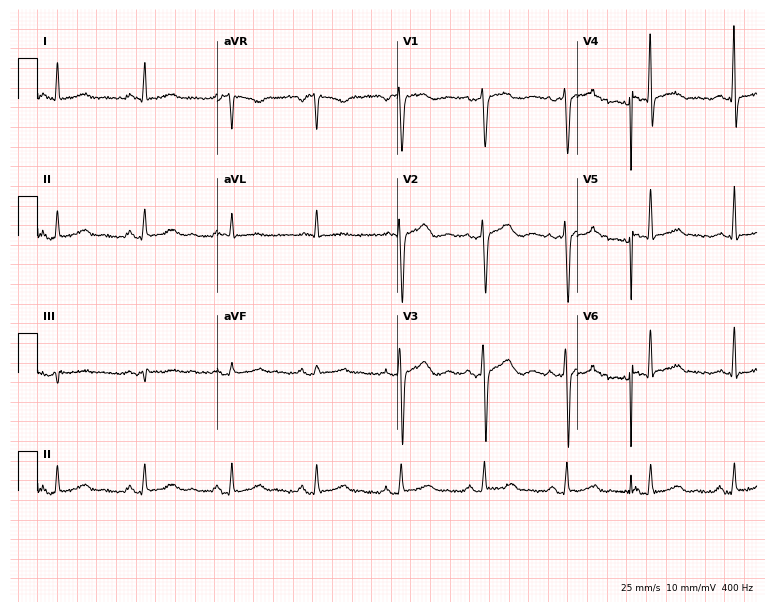
Standard 12-lead ECG recorded from a 65-year-old female (7.3-second recording at 400 Hz). Read as a normal ECG.